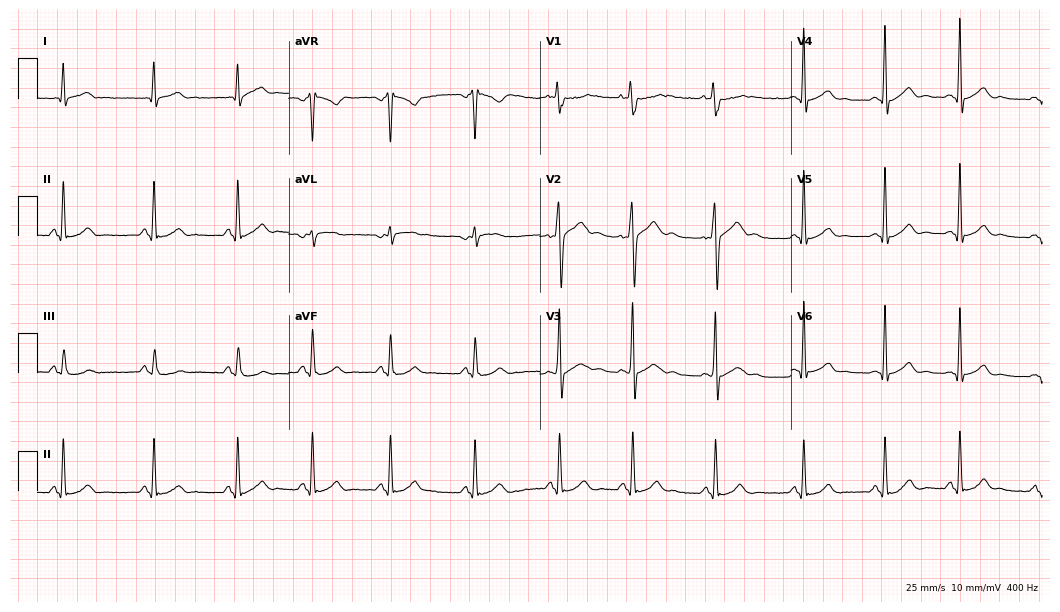
12-lead ECG from a 25-year-old male (10.2-second recording at 400 Hz). No first-degree AV block, right bundle branch block, left bundle branch block, sinus bradycardia, atrial fibrillation or sinus tachycardia recorded for this tracing. Only these six findings were labelled.